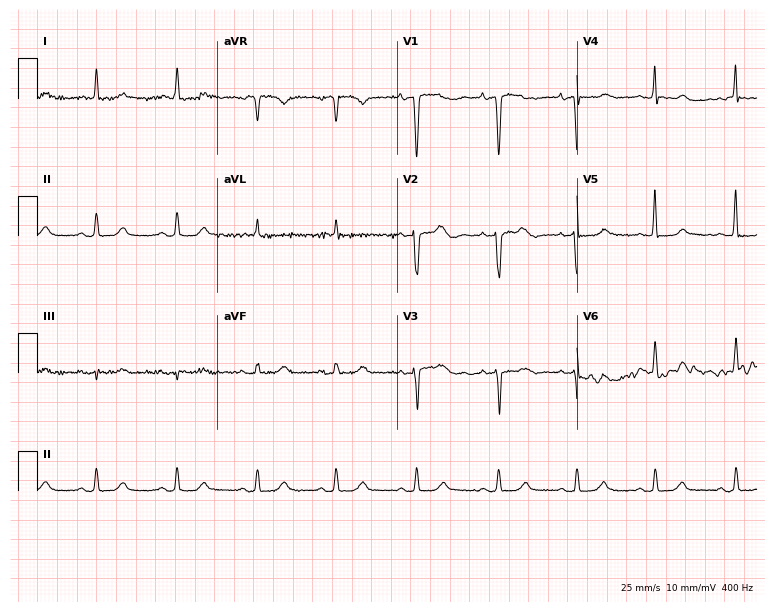
Standard 12-lead ECG recorded from an 85-year-old female. None of these six findings is recorded: first-degree AV block, right bundle branch block (RBBB), left bundle branch block (LBBB), sinus bradycardia, atrial fibrillation (AF), sinus tachycardia.